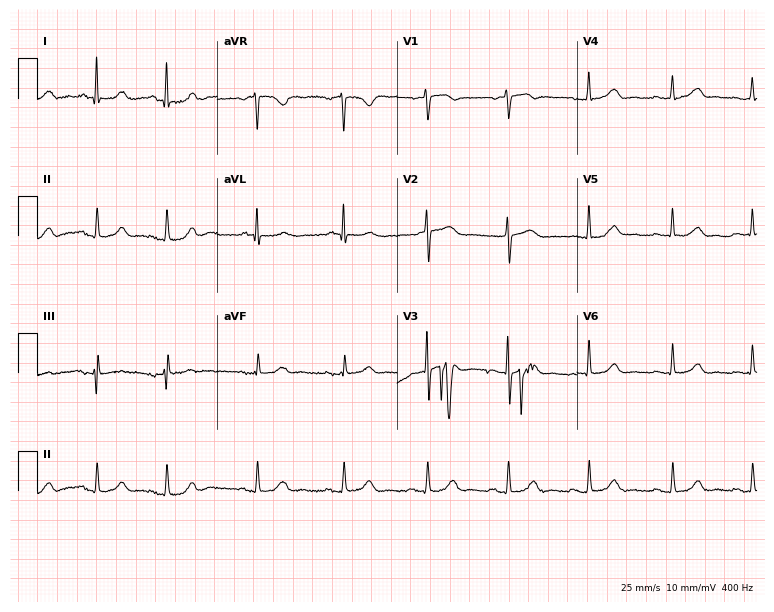
ECG (7.3-second recording at 400 Hz) — a 65-year-old male patient. Labelled as a normal ECG.